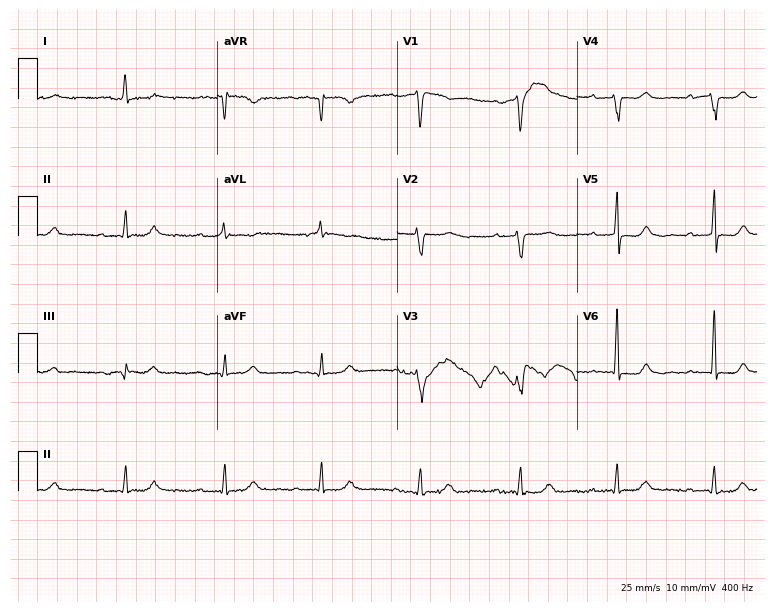
Resting 12-lead electrocardiogram (7.3-second recording at 400 Hz). Patient: a 64-year-old female. The tracing shows first-degree AV block.